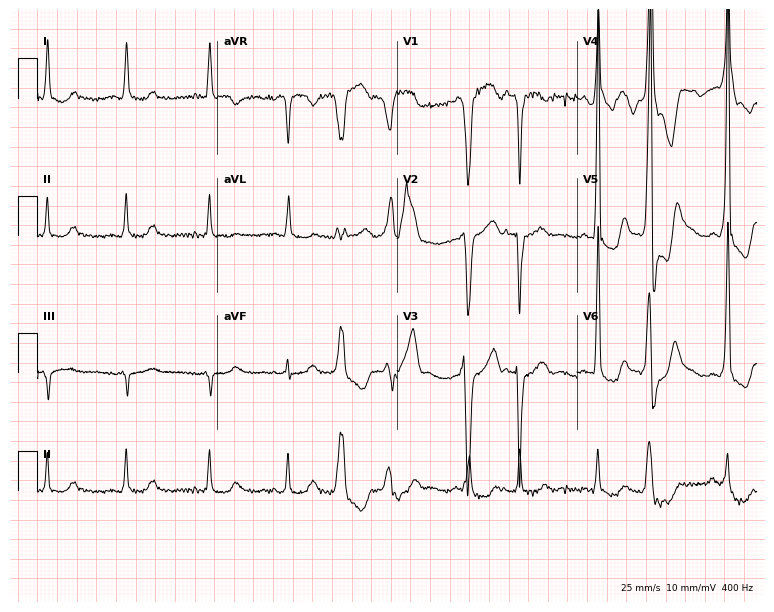
12-lead ECG from a male patient, 77 years old (7.3-second recording at 400 Hz). No first-degree AV block, right bundle branch block, left bundle branch block, sinus bradycardia, atrial fibrillation or sinus tachycardia recorded for this tracing.